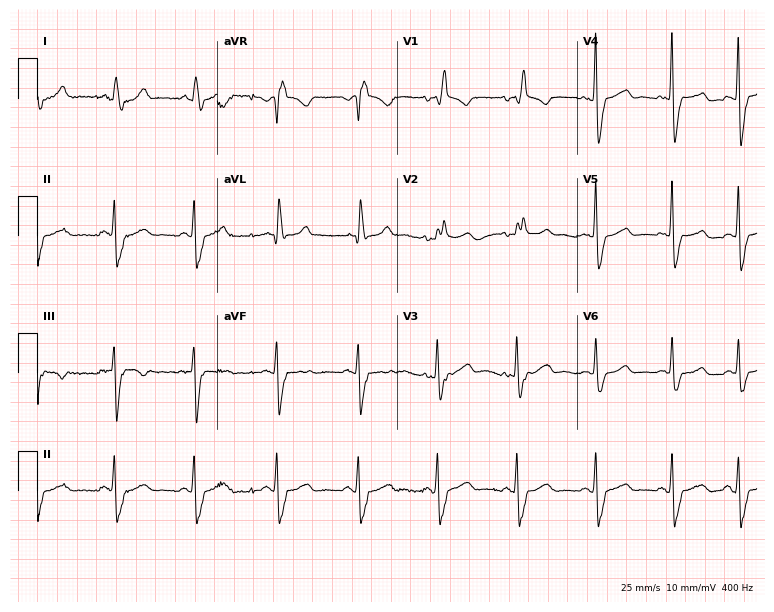
Resting 12-lead electrocardiogram. Patient: an 85-year-old woman. The tracing shows right bundle branch block.